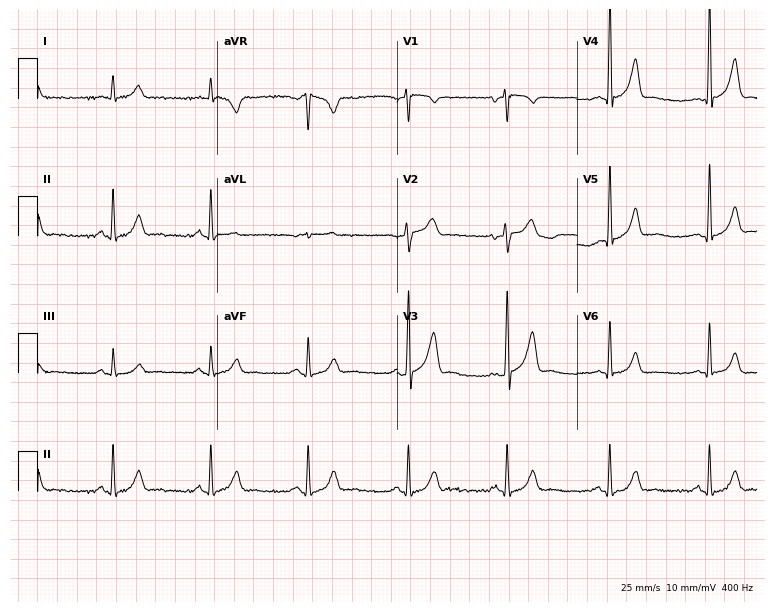
12-lead ECG from a 50-year-old male (7.3-second recording at 400 Hz). Recorded interpretation: within normal limits.